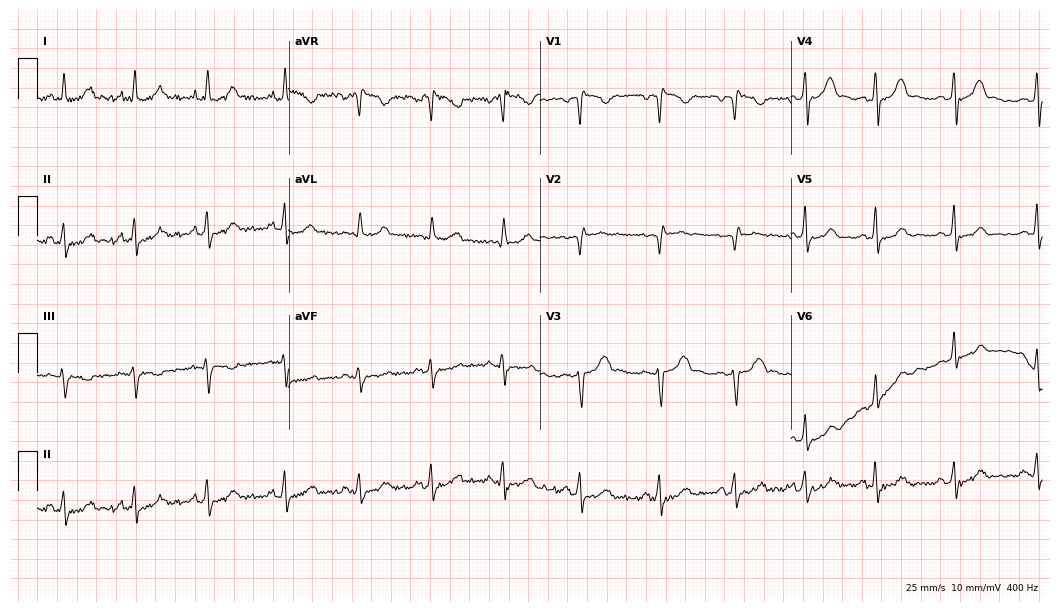
12-lead ECG from a woman, 31 years old. No first-degree AV block, right bundle branch block (RBBB), left bundle branch block (LBBB), sinus bradycardia, atrial fibrillation (AF) or sinus tachycardia recorded for this tracing.